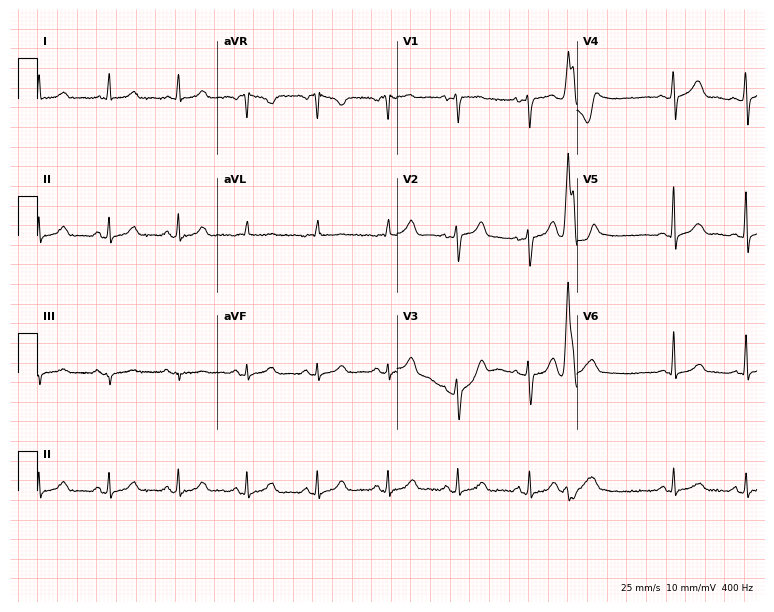
12-lead ECG from a female, 82 years old (7.3-second recording at 400 Hz). Recorded interpretation: within normal limits.